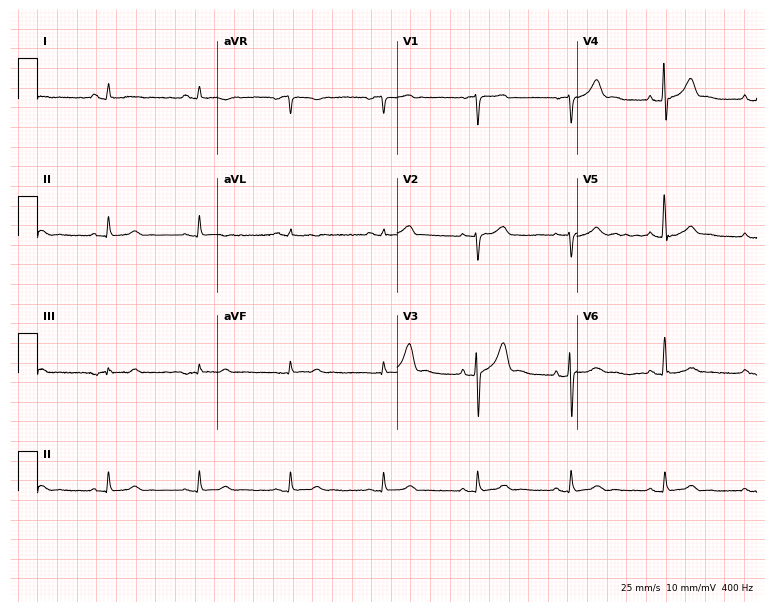
Electrocardiogram, a 61-year-old man. Of the six screened findings (first-degree AV block, right bundle branch block, left bundle branch block, sinus bradycardia, atrial fibrillation, sinus tachycardia), none is recorded. Only these six findings were labelled.